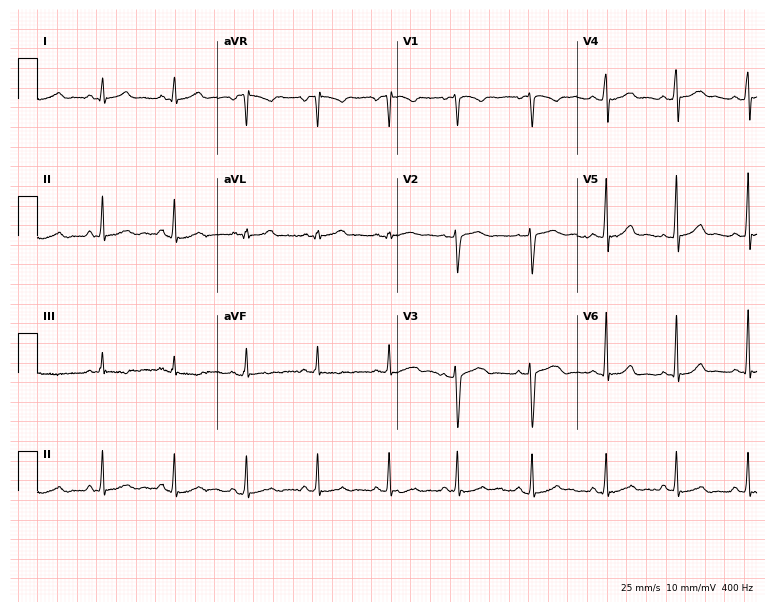
Resting 12-lead electrocardiogram (7.3-second recording at 400 Hz). Patient: a female, 18 years old. Read as a normal ECG.